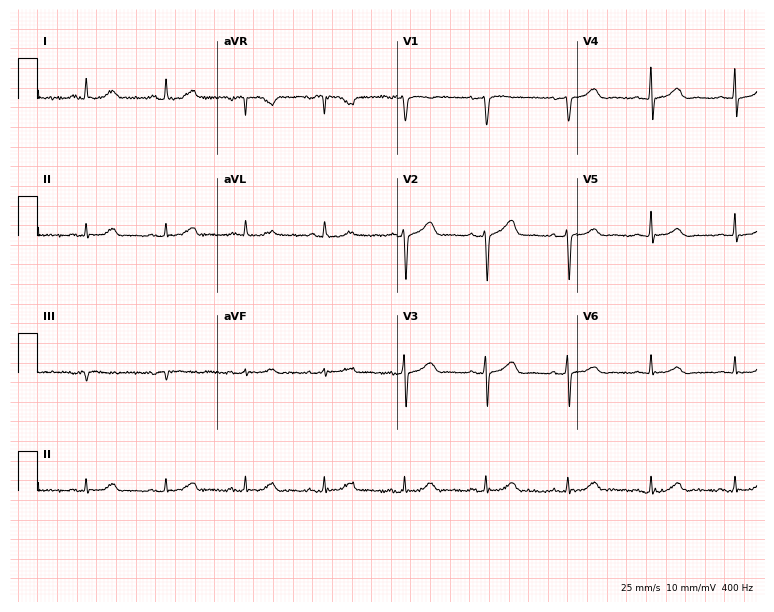
Resting 12-lead electrocardiogram. Patient: a female, 65 years old. Read as a normal ECG.